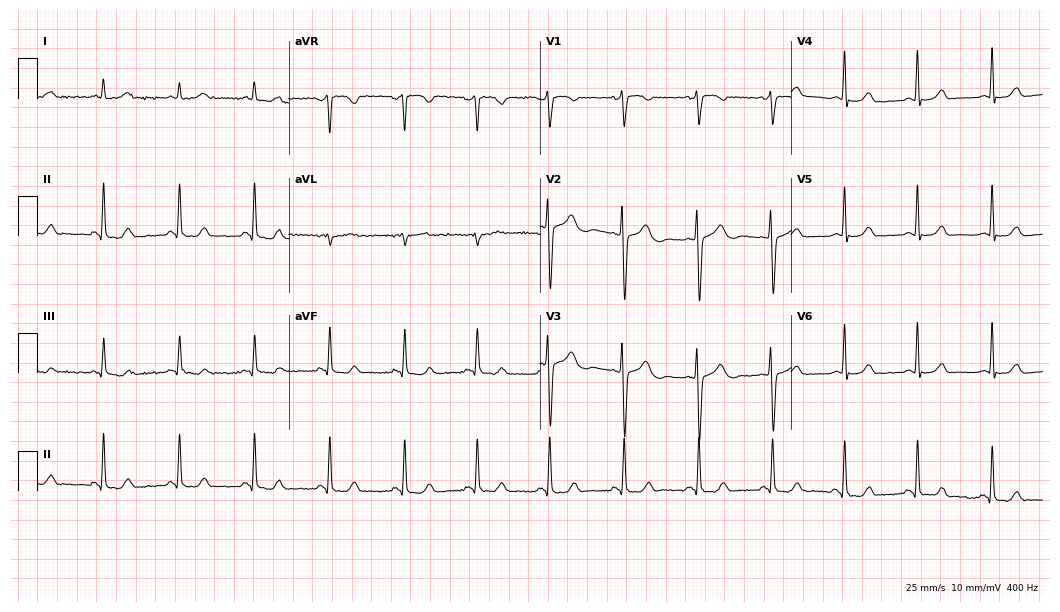
12-lead ECG from a 28-year-old woman (10.2-second recording at 400 Hz). Recorded interpretation: within normal limits.